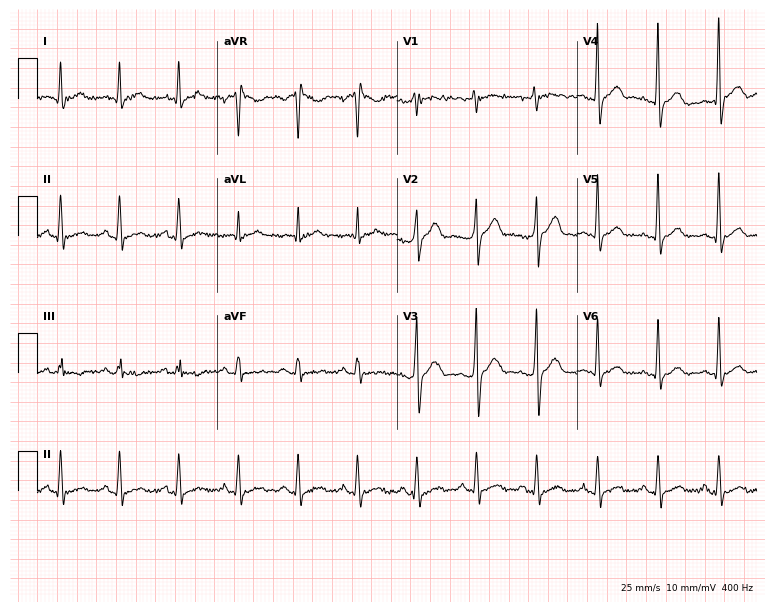
12-lead ECG from a 40-year-old male patient (7.3-second recording at 400 Hz). No first-degree AV block, right bundle branch block, left bundle branch block, sinus bradycardia, atrial fibrillation or sinus tachycardia recorded for this tracing. Findings outside these six are not listed.